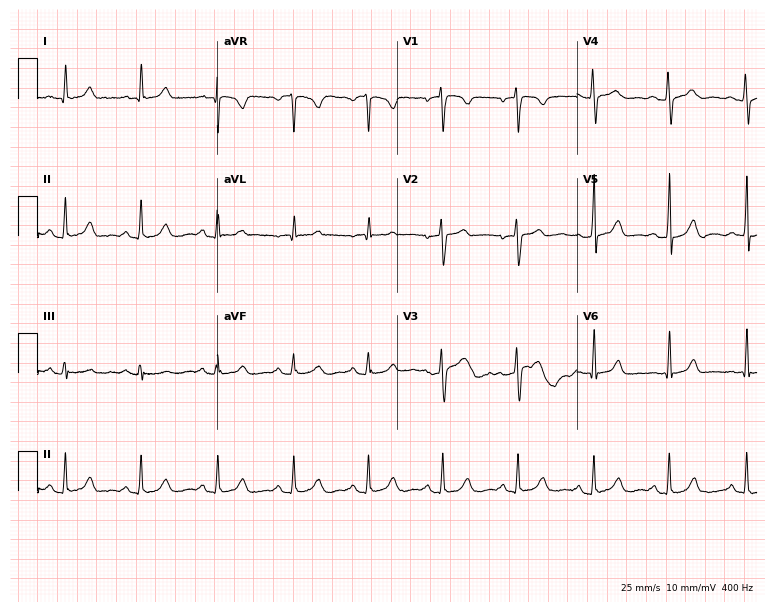
12-lead ECG (7.3-second recording at 400 Hz) from a 37-year-old female. Labelled as a normal ECG.